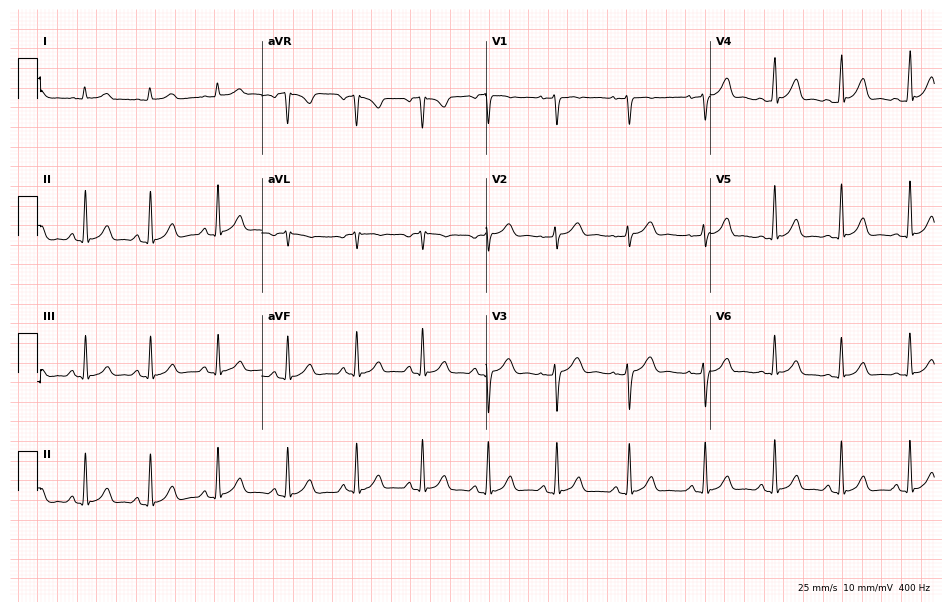
Standard 12-lead ECG recorded from a female patient, 39 years old. Read as a normal ECG.